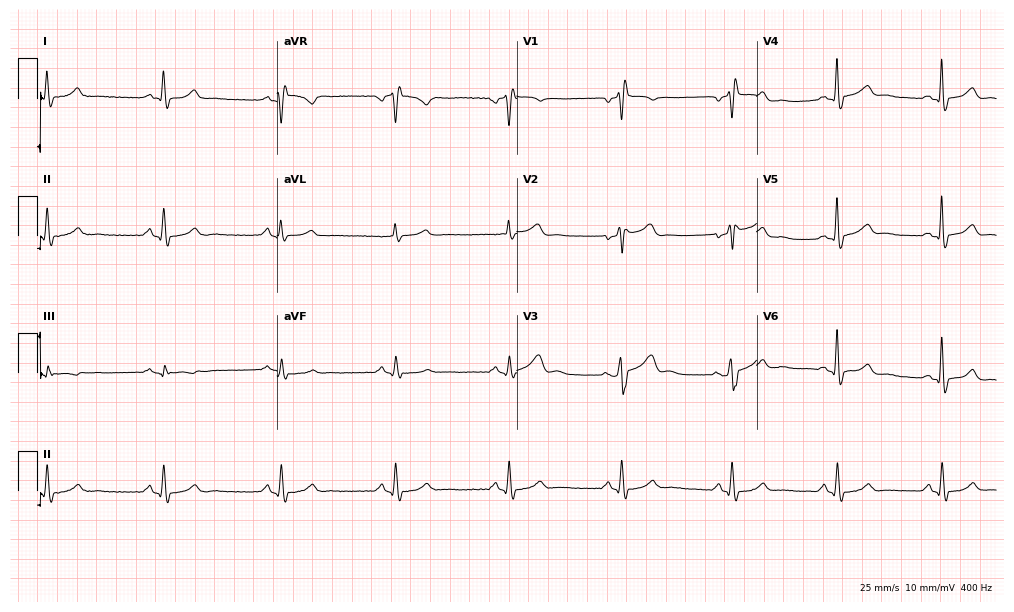
Standard 12-lead ECG recorded from a 68-year-old man. The tracing shows right bundle branch block.